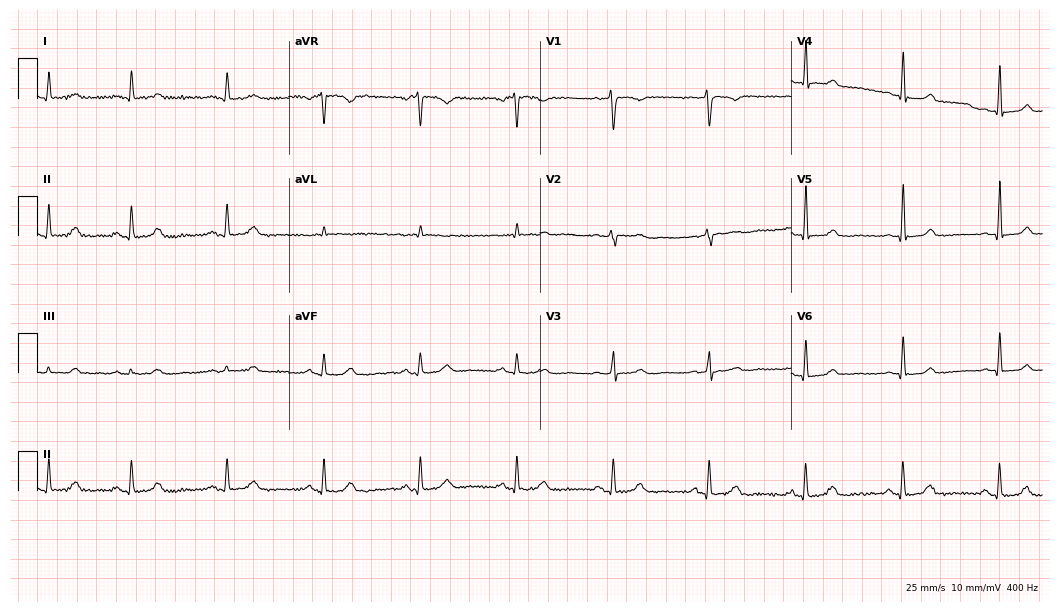
Electrocardiogram (10.2-second recording at 400 Hz), a female, 42 years old. Overall reading on record: normal ECG.